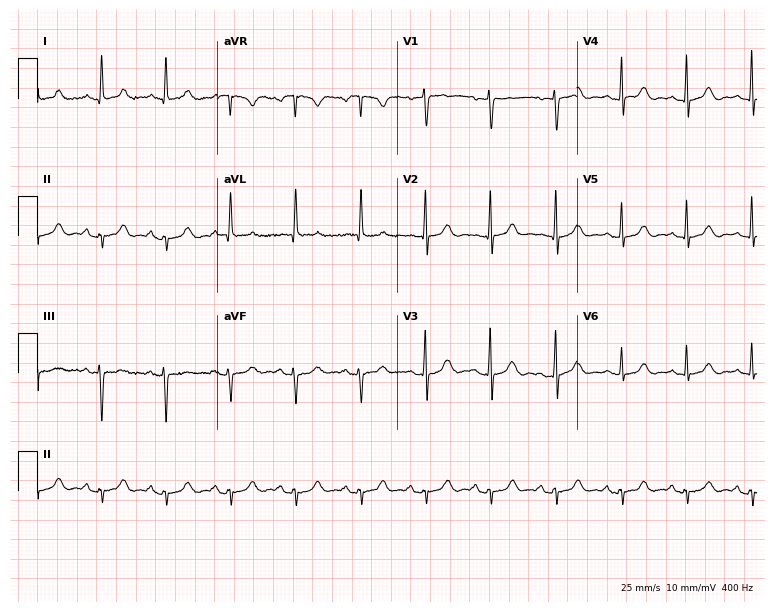
Resting 12-lead electrocardiogram. Patient: a 56-year-old female. None of these six findings is recorded: first-degree AV block, right bundle branch block, left bundle branch block, sinus bradycardia, atrial fibrillation, sinus tachycardia. Only these six findings were labelled.